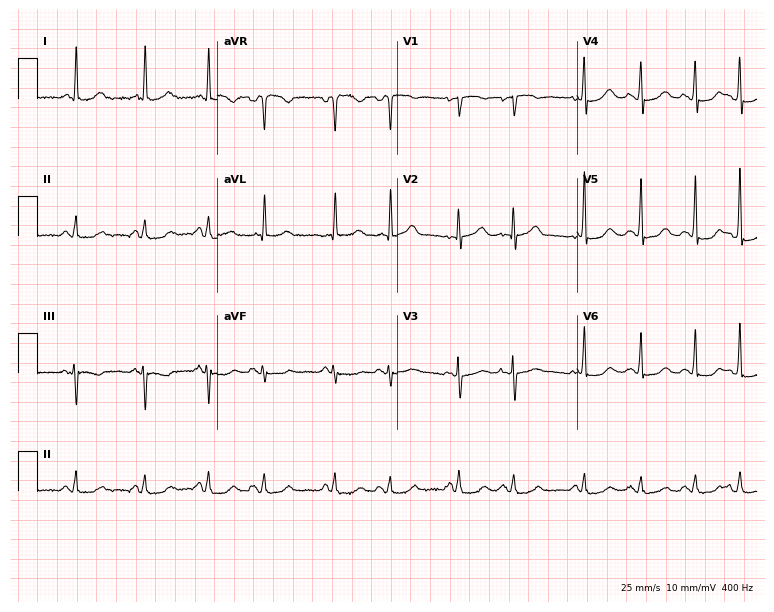
ECG (7.3-second recording at 400 Hz) — an 81-year-old female patient. Screened for six findings — first-degree AV block, right bundle branch block, left bundle branch block, sinus bradycardia, atrial fibrillation, sinus tachycardia — none is recorded. Only these six findings were labelled.